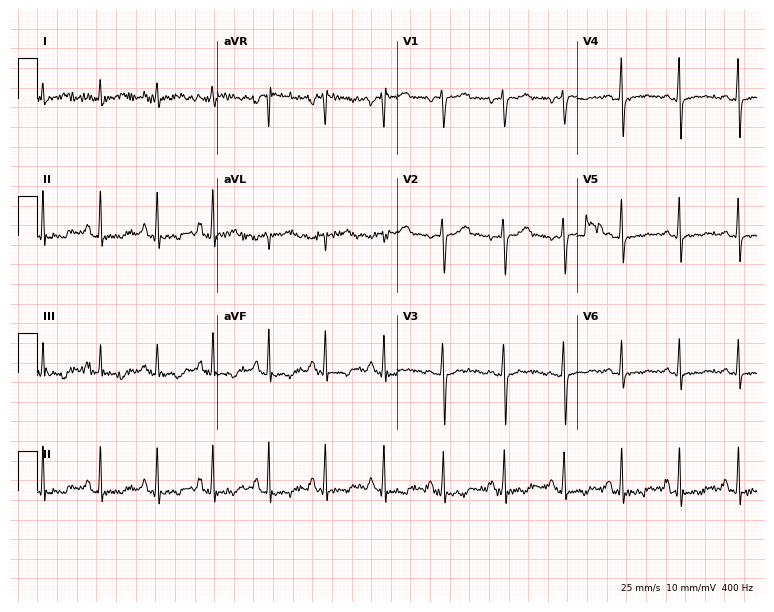
ECG (7.3-second recording at 400 Hz) — a woman, 32 years old. Screened for six findings — first-degree AV block, right bundle branch block, left bundle branch block, sinus bradycardia, atrial fibrillation, sinus tachycardia — none is recorded.